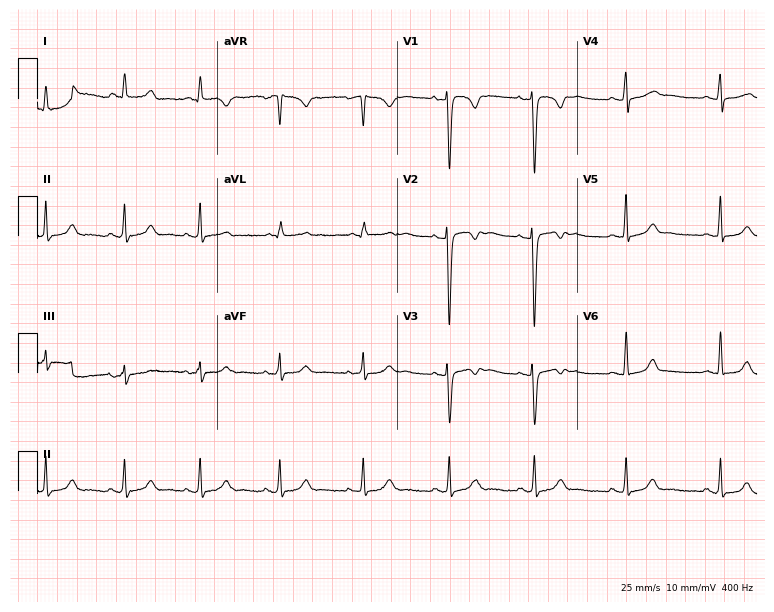
12-lead ECG (7.3-second recording at 400 Hz) from a woman, 27 years old. Labelled as a normal ECG.